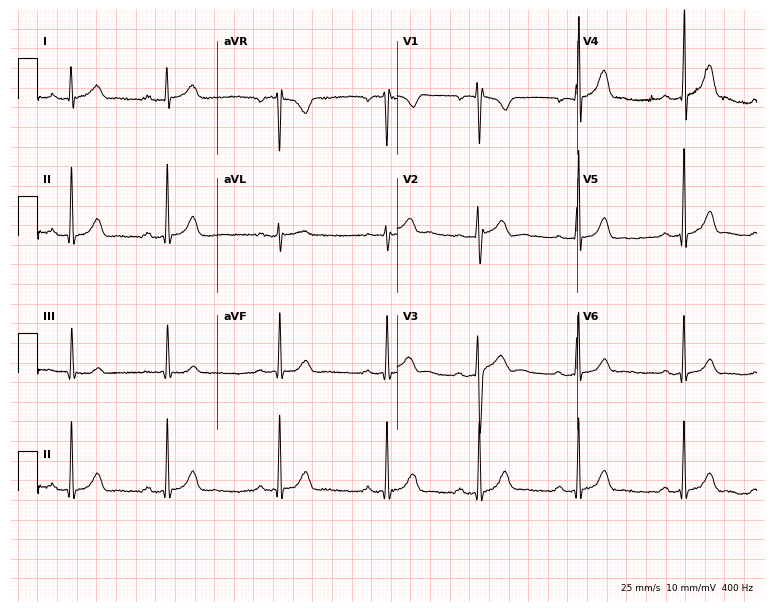
ECG (7.3-second recording at 400 Hz) — a 26-year-old male. Labelled as a normal ECG.